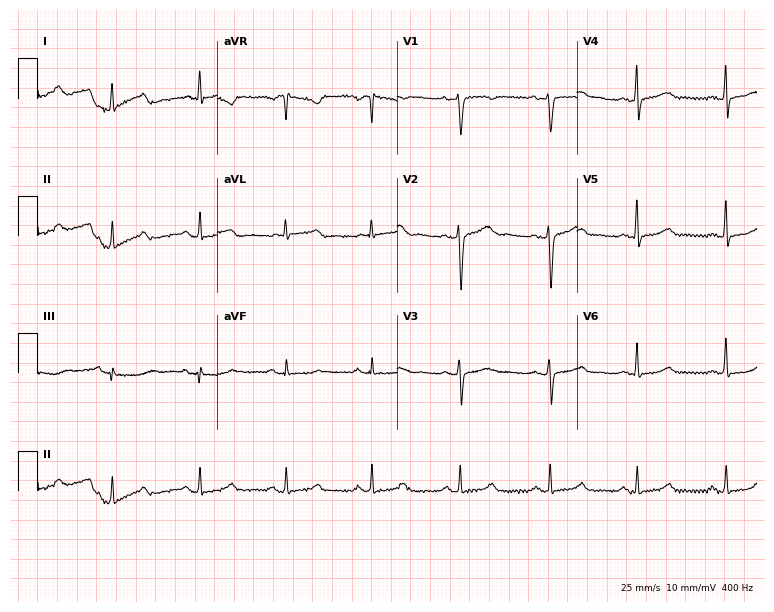
12-lead ECG from a woman, 43 years old. Recorded interpretation: within normal limits.